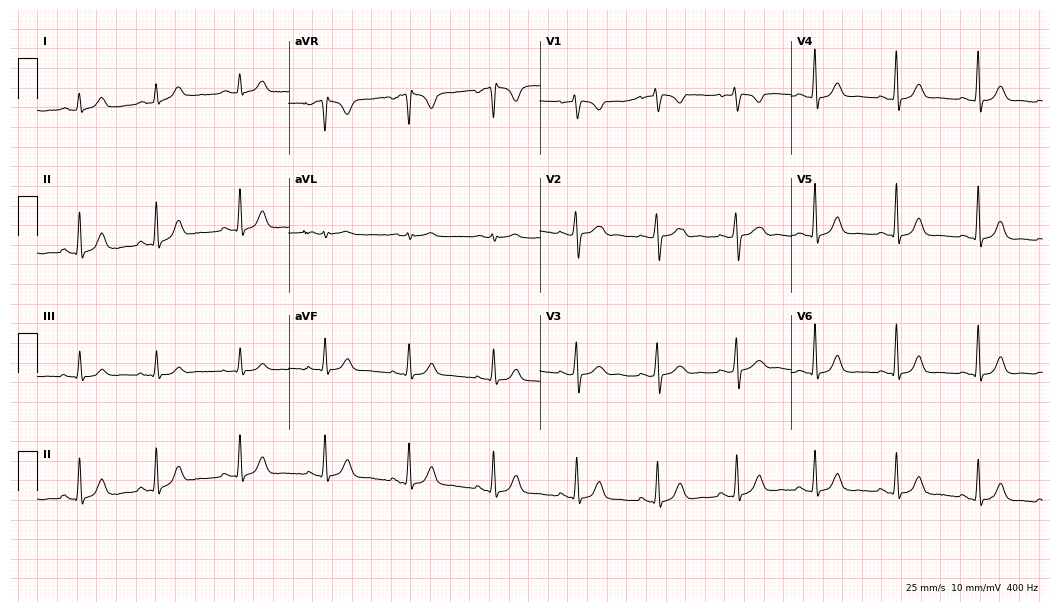
Resting 12-lead electrocardiogram. Patient: a 44-year-old female. None of these six findings is recorded: first-degree AV block, right bundle branch block, left bundle branch block, sinus bradycardia, atrial fibrillation, sinus tachycardia. Other findings, if any, are not listed.